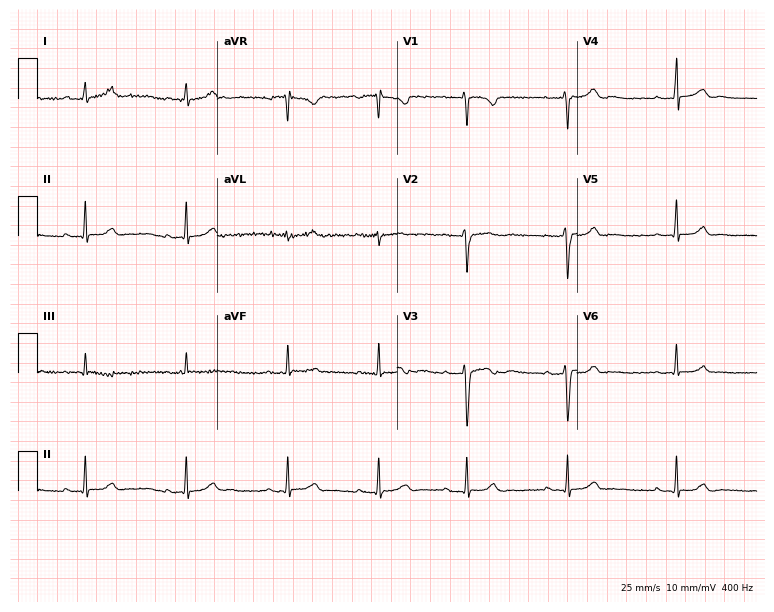
Resting 12-lead electrocardiogram (7.3-second recording at 400 Hz). Patient: a 33-year-old female. None of these six findings is recorded: first-degree AV block, right bundle branch block (RBBB), left bundle branch block (LBBB), sinus bradycardia, atrial fibrillation (AF), sinus tachycardia. Findings outside these six are not listed.